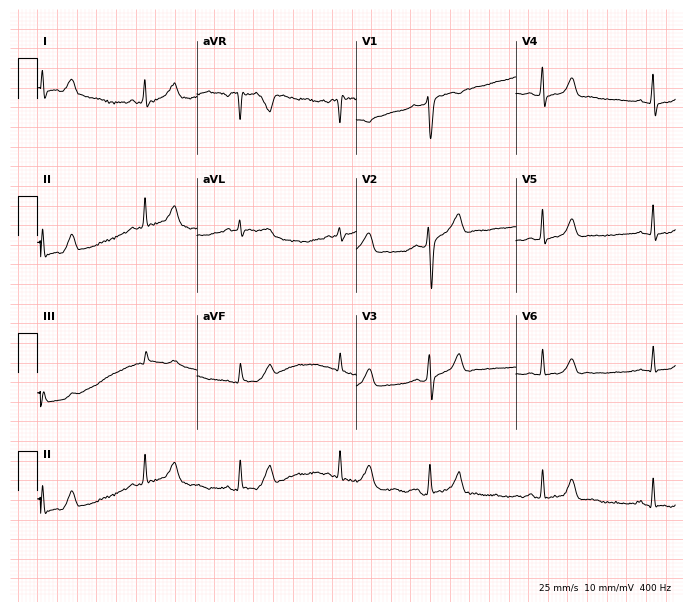
Resting 12-lead electrocardiogram (6.5-second recording at 400 Hz). Patient: a 25-year-old woman. Read as a normal ECG.